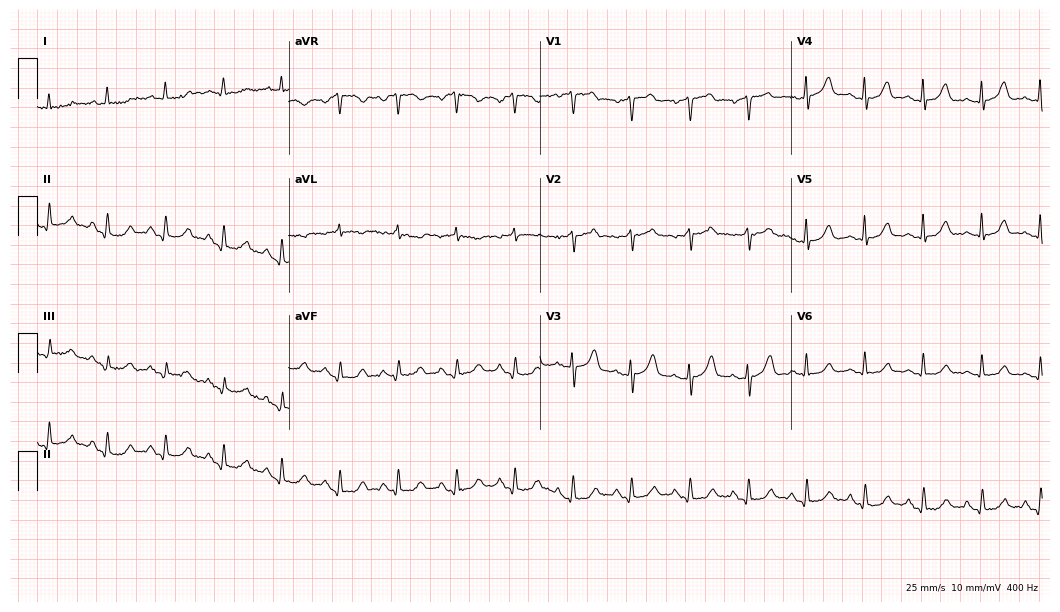
Resting 12-lead electrocardiogram. Patient: a male, 65 years old. The tracing shows sinus tachycardia (a sinus rate of 100 beats per minute or more).